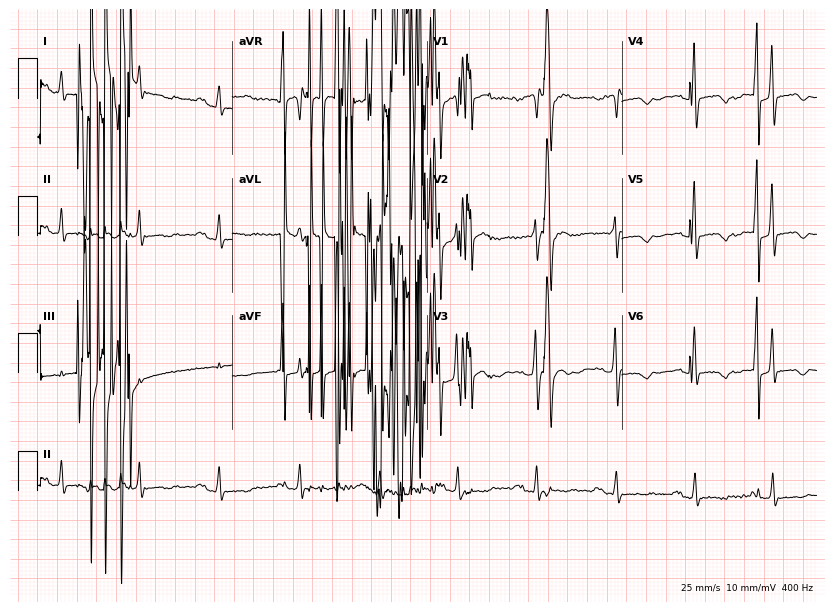
12-lead ECG from a 67-year-old woman (7.9-second recording at 400 Hz). No first-degree AV block, right bundle branch block, left bundle branch block, sinus bradycardia, atrial fibrillation or sinus tachycardia recorded for this tracing.